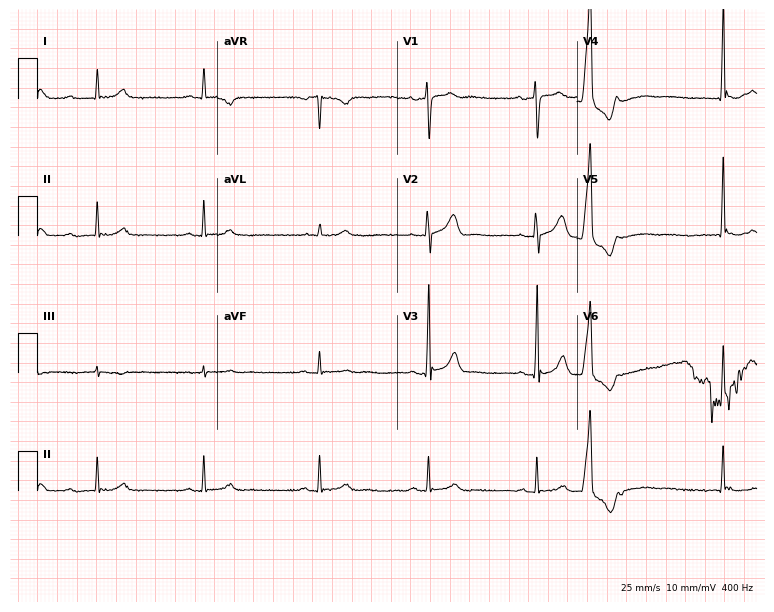
12-lead ECG from a 55-year-old man (7.3-second recording at 400 Hz). No first-degree AV block, right bundle branch block (RBBB), left bundle branch block (LBBB), sinus bradycardia, atrial fibrillation (AF) or sinus tachycardia recorded for this tracing.